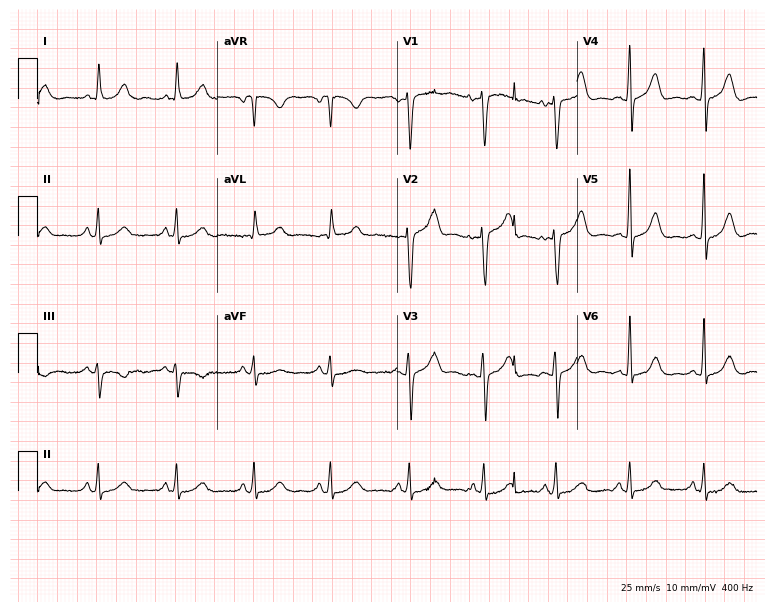
Electrocardiogram, a female patient, 44 years old. Overall reading on record: normal ECG.